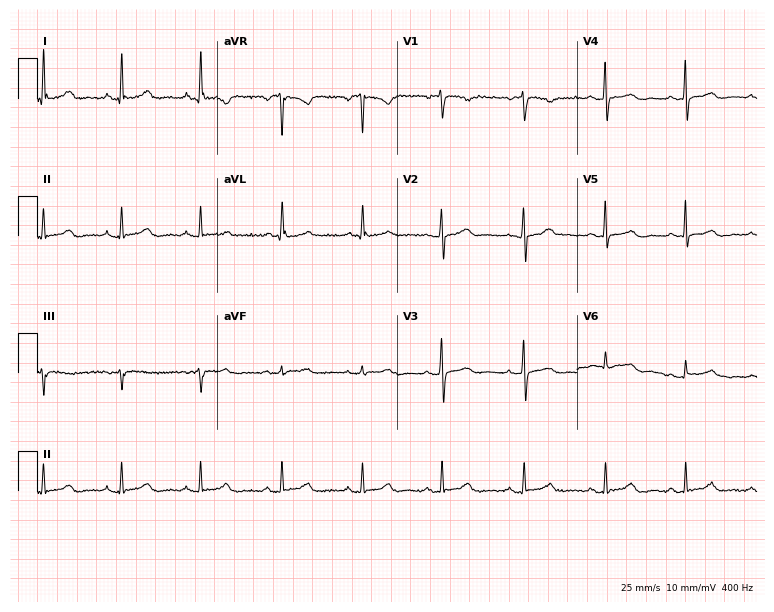
Standard 12-lead ECG recorded from a 69-year-old woman (7.3-second recording at 400 Hz). Read as a normal ECG.